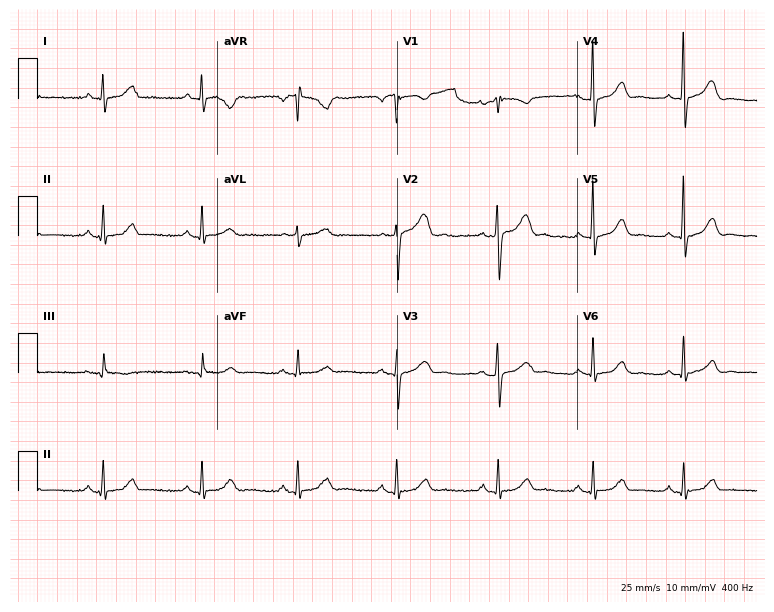
Resting 12-lead electrocardiogram (7.3-second recording at 400 Hz). Patient: a woman, 55 years old. None of these six findings is recorded: first-degree AV block, right bundle branch block (RBBB), left bundle branch block (LBBB), sinus bradycardia, atrial fibrillation (AF), sinus tachycardia. Findings outside these six are not listed.